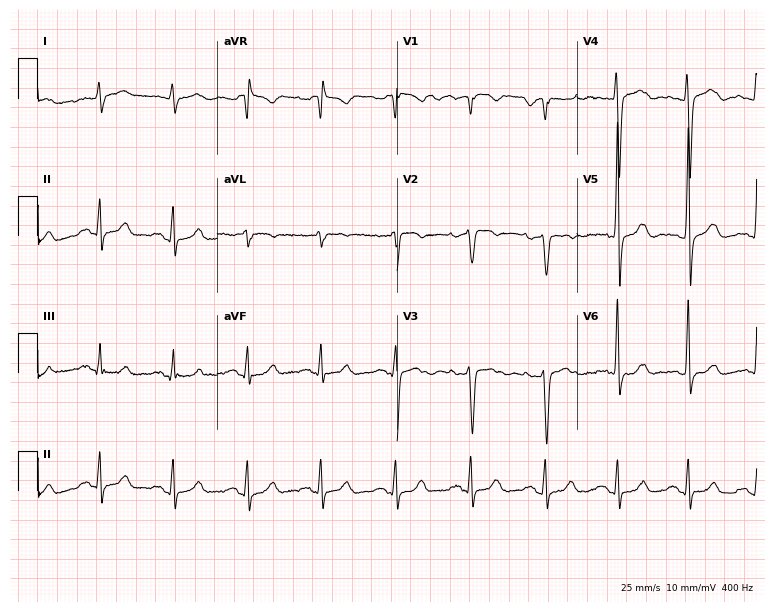
Resting 12-lead electrocardiogram. Patient: a 38-year-old female. None of these six findings is recorded: first-degree AV block, right bundle branch block (RBBB), left bundle branch block (LBBB), sinus bradycardia, atrial fibrillation (AF), sinus tachycardia.